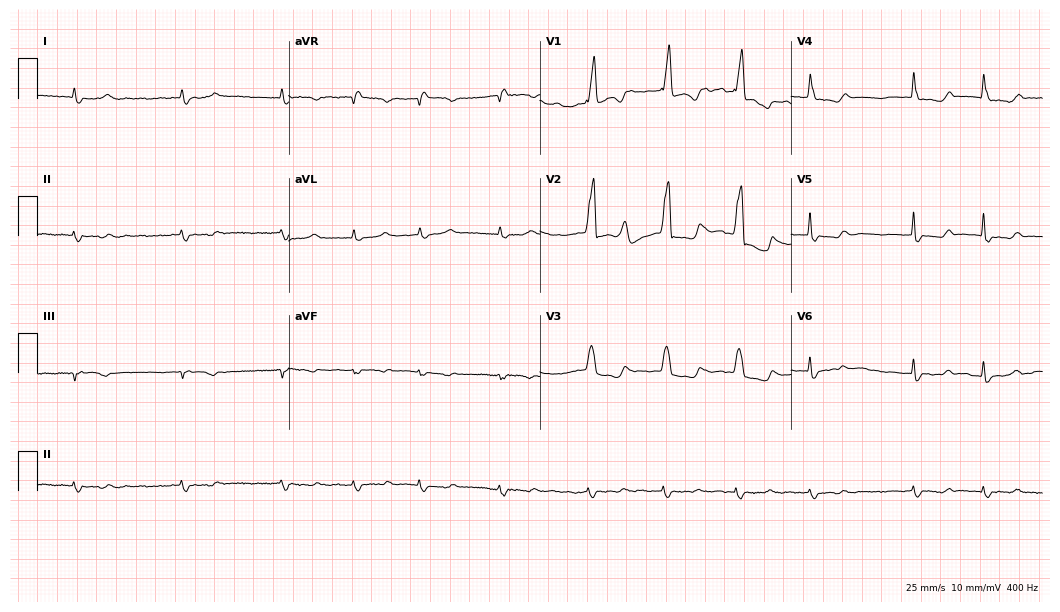
ECG (10.2-second recording at 400 Hz) — a female patient, 84 years old. Findings include right bundle branch block, atrial fibrillation.